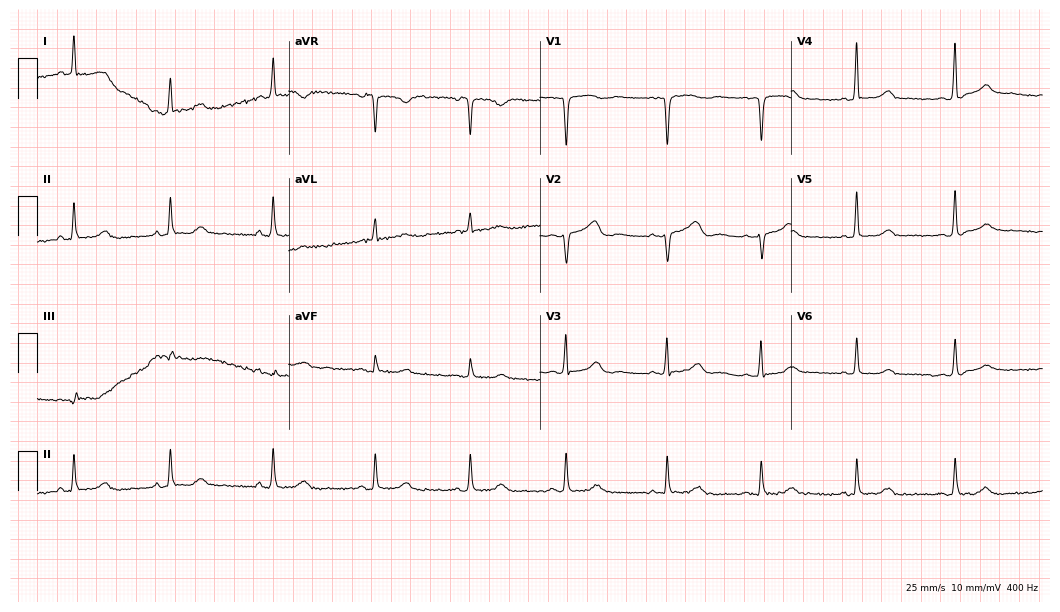
Resting 12-lead electrocardiogram. Patient: a female, 47 years old. None of these six findings is recorded: first-degree AV block, right bundle branch block, left bundle branch block, sinus bradycardia, atrial fibrillation, sinus tachycardia. Other findings, if any, are not listed.